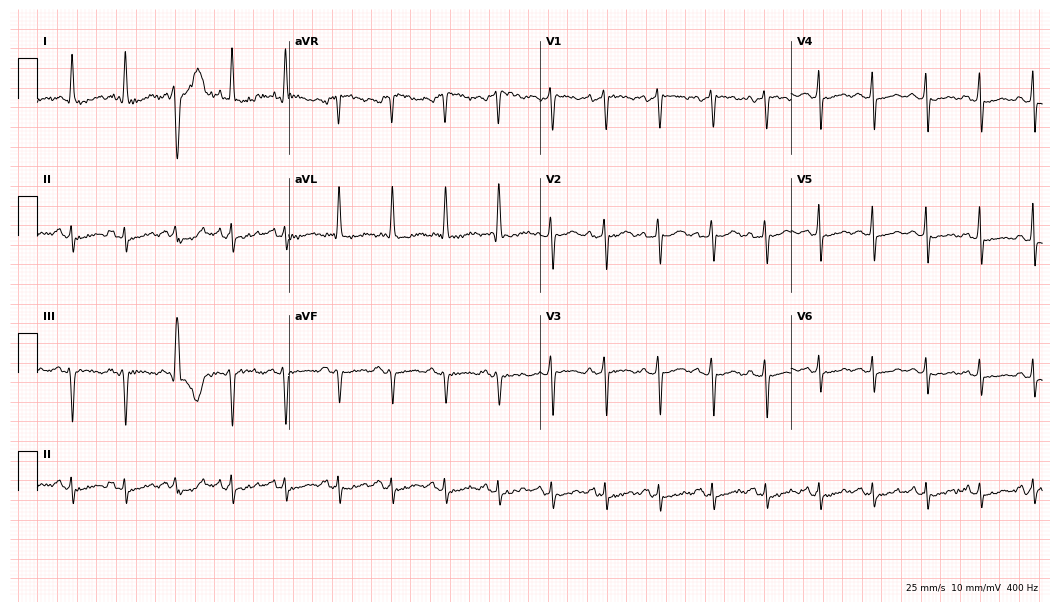
12-lead ECG from a woman, 46 years old. No first-degree AV block, right bundle branch block, left bundle branch block, sinus bradycardia, atrial fibrillation or sinus tachycardia recorded for this tracing.